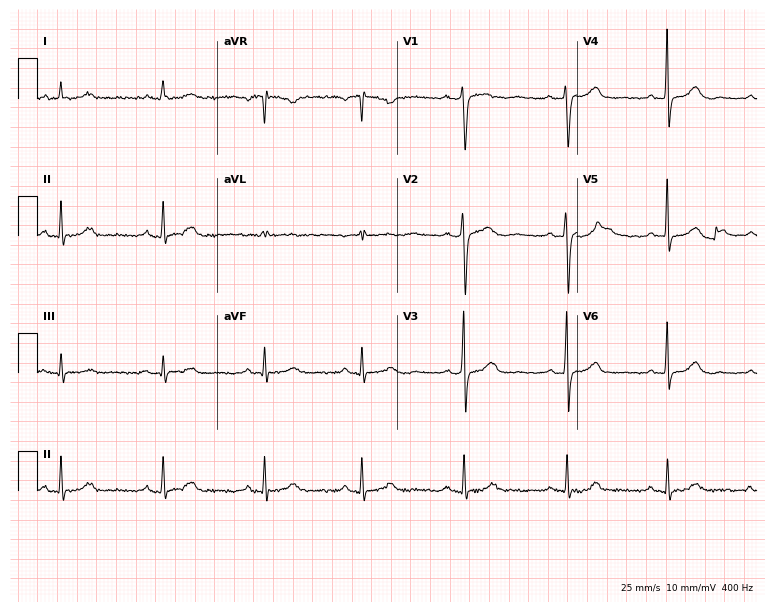
Resting 12-lead electrocardiogram (7.3-second recording at 400 Hz). Patient: a 62-year-old female. None of these six findings is recorded: first-degree AV block, right bundle branch block, left bundle branch block, sinus bradycardia, atrial fibrillation, sinus tachycardia.